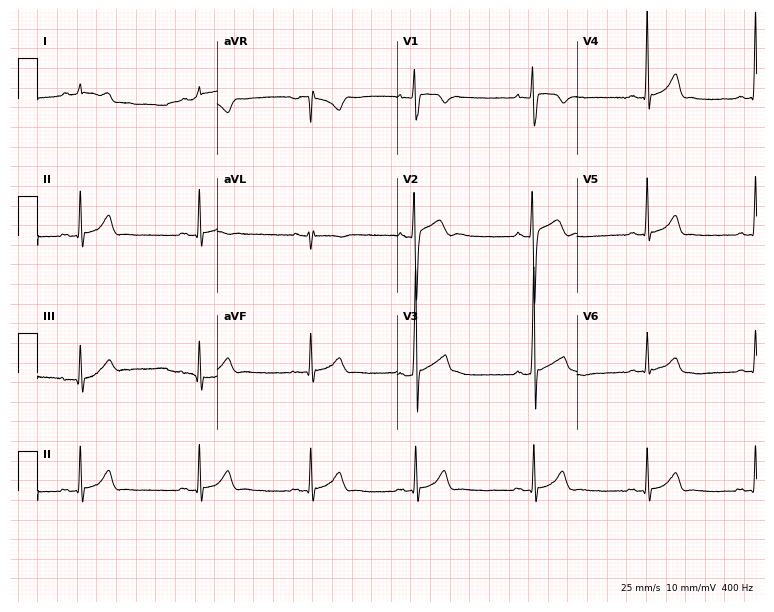
Standard 12-lead ECG recorded from a male patient, 18 years old (7.3-second recording at 400 Hz). Read as a normal ECG.